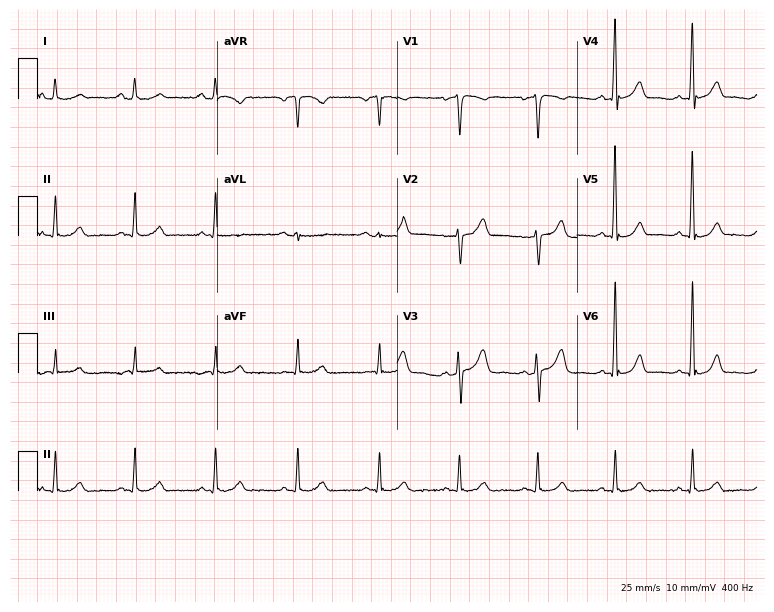
12-lead ECG (7.3-second recording at 400 Hz) from a 60-year-old male. Labelled as a normal ECG.